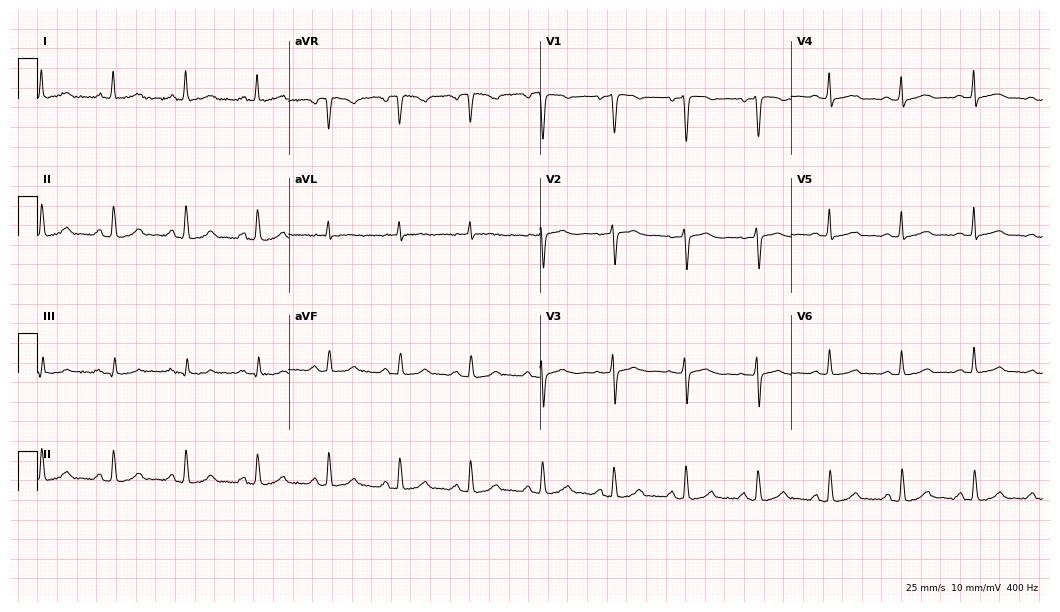
12-lead ECG from a woman, 48 years old (10.2-second recording at 400 Hz). Recorded interpretation: within normal limits.